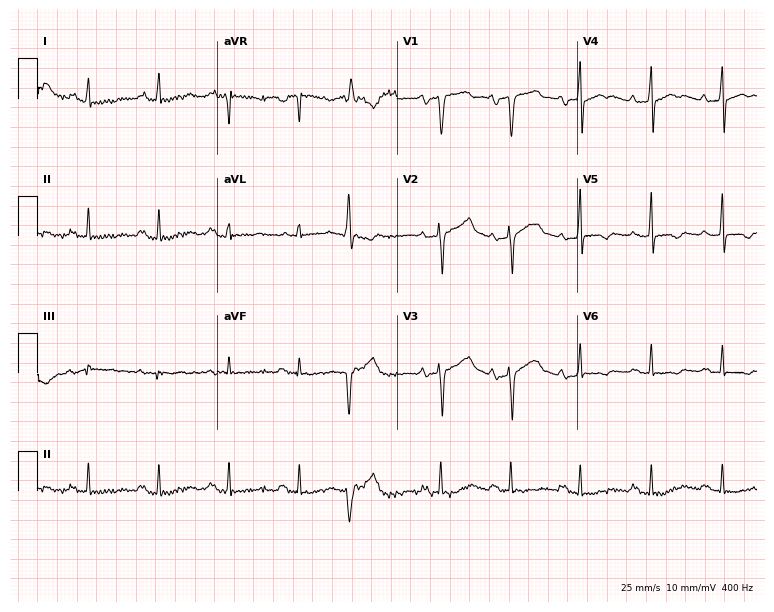
12-lead ECG from a man, 55 years old (7.3-second recording at 400 Hz). No first-degree AV block, right bundle branch block (RBBB), left bundle branch block (LBBB), sinus bradycardia, atrial fibrillation (AF) or sinus tachycardia recorded for this tracing. Findings outside these six are not listed.